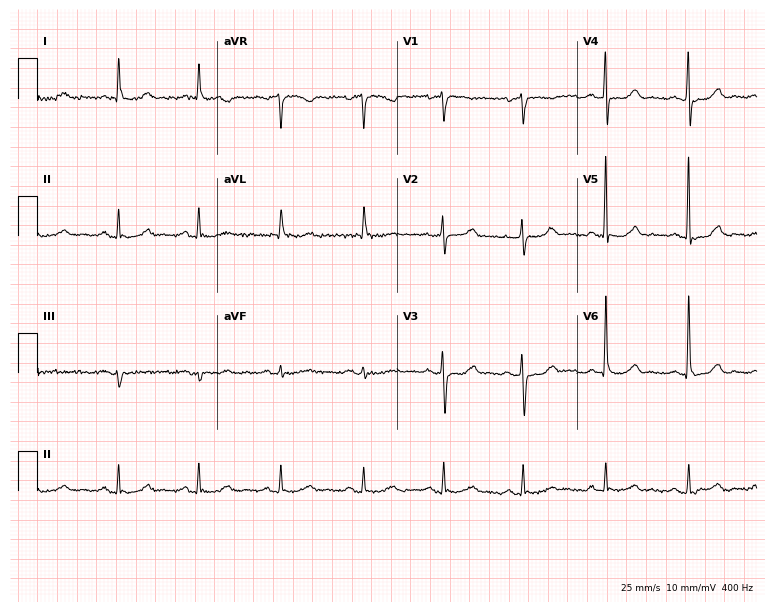
Electrocardiogram, a woman, 75 years old. Of the six screened findings (first-degree AV block, right bundle branch block (RBBB), left bundle branch block (LBBB), sinus bradycardia, atrial fibrillation (AF), sinus tachycardia), none is recorded. Only these six findings were labelled.